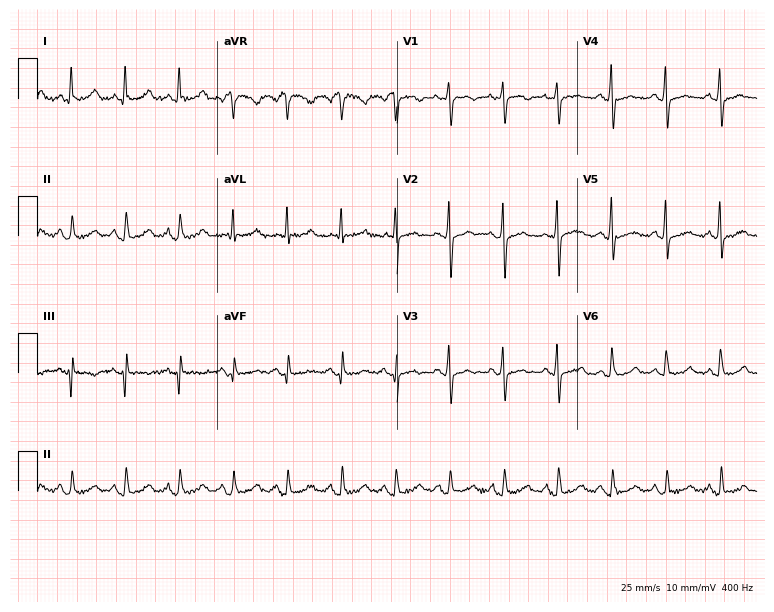
12-lead ECG from a 78-year-old female. Findings include sinus tachycardia (a sinus rate of 100 beats per minute or more).